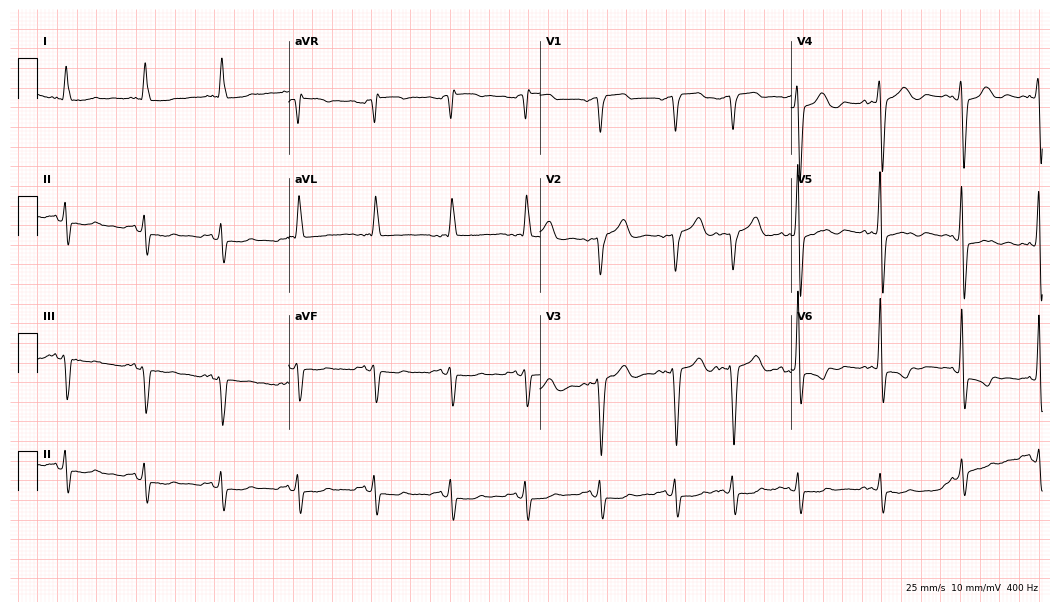
Standard 12-lead ECG recorded from an 81-year-old male patient (10.2-second recording at 400 Hz). None of these six findings is recorded: first-degree AV block, right bundle branch block, left bundle branch block, sinus bradycardia, atrial fibrillation, sinus tachycardia.